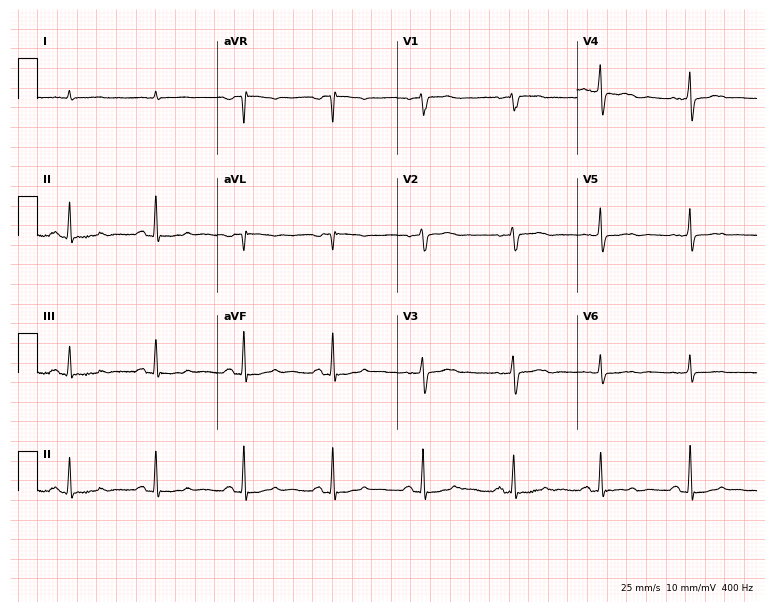
Standard 12-lead ECG recorded from a male, 82 years old (7.3-second recording at 400 Hz). None of these six findings is recorded: first-degree AV block, right bundle branch block, left bundle branch block, sinus bradycardia, atrial fibrillation, sinus tachycardia. Findings outside these six are not listed.